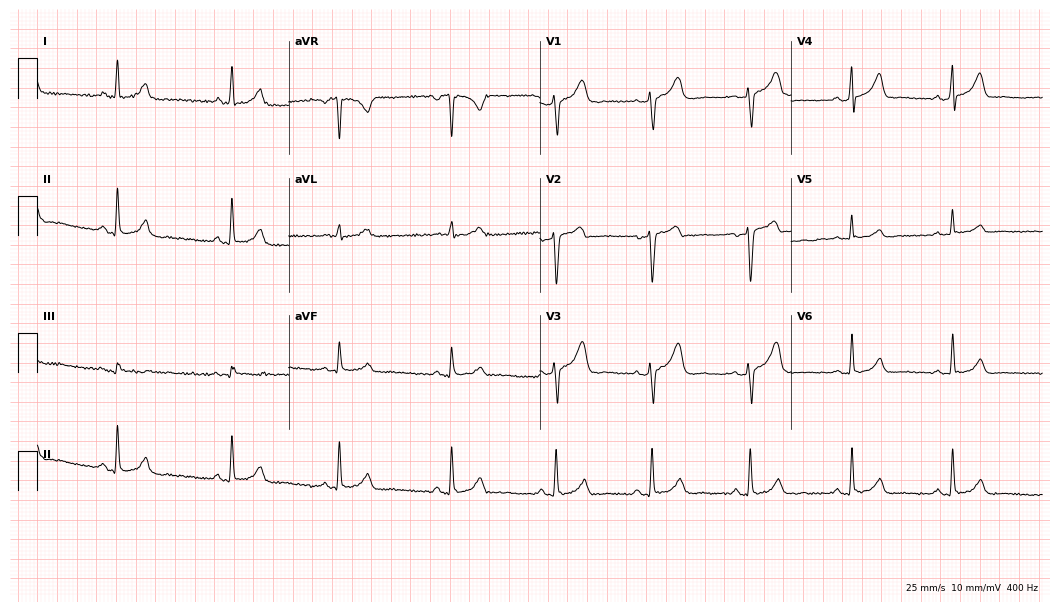
12-lead ECG from a 42-year-old female patient. Recorded interpretation: within normal limits.